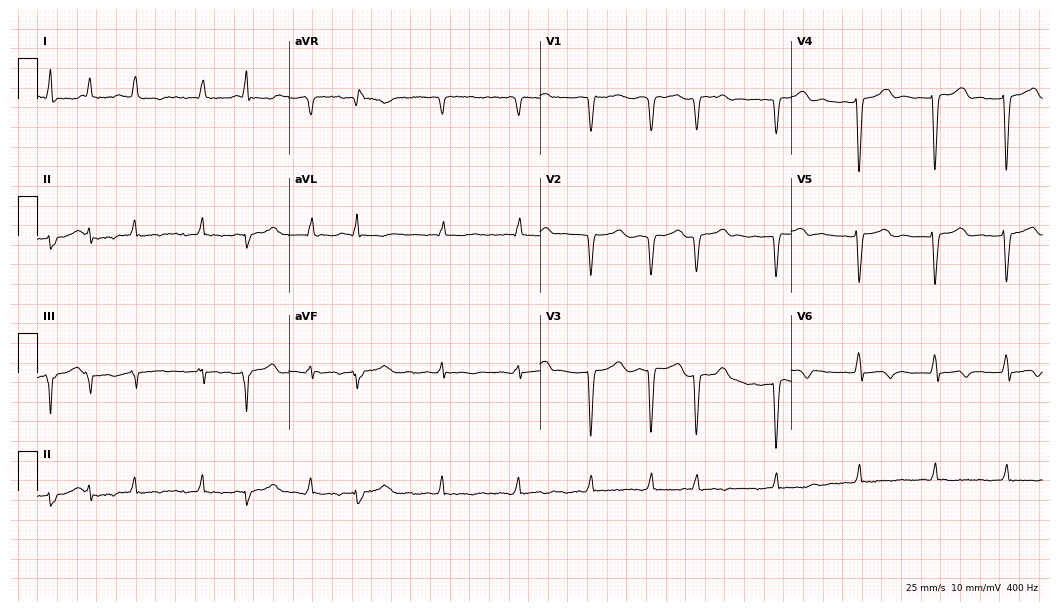
Resting 12-lead electrocardiogram. Patient: a 59-year-old female. The tracing shows atrial fibrillation.